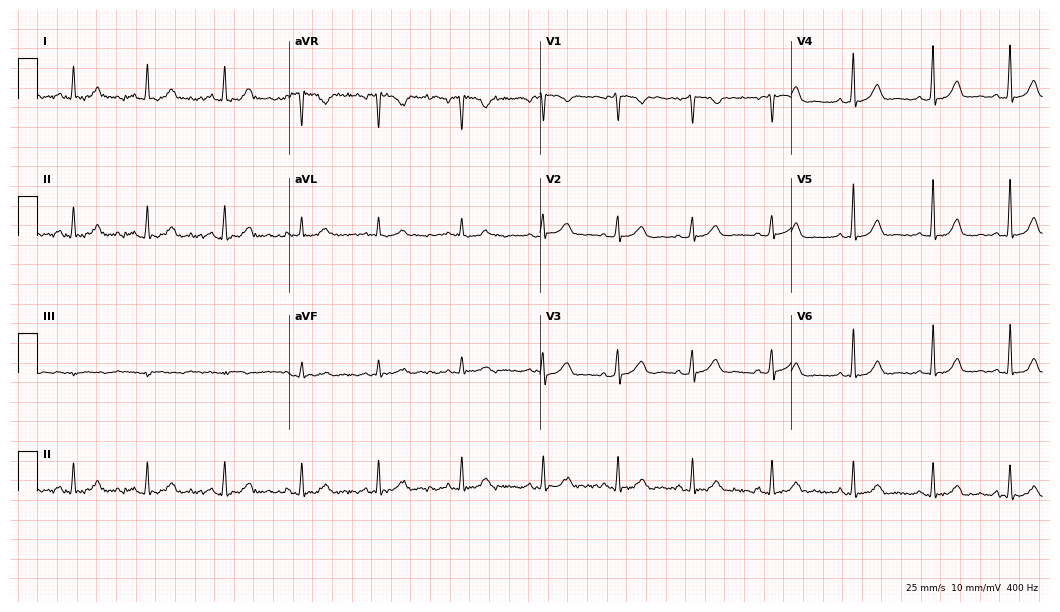
12-lead ECG from a 37-year-old female. Labelled as a normal ECG.